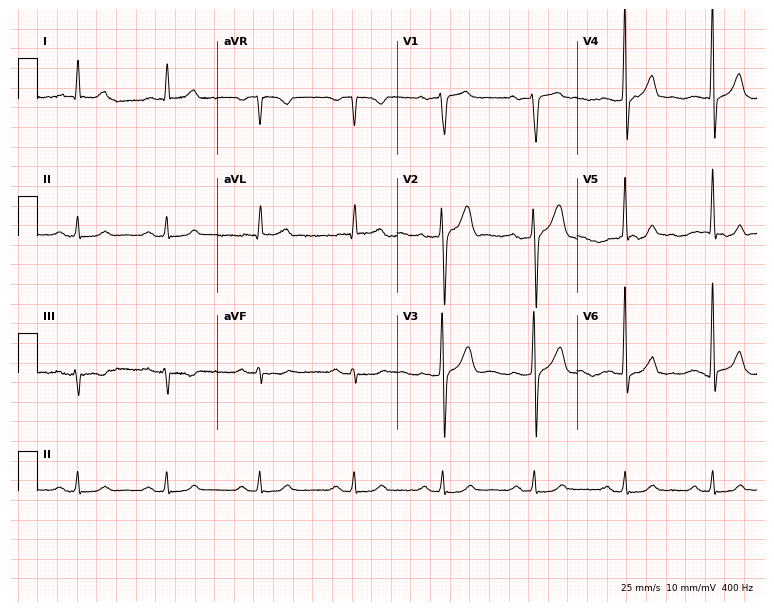
ECG (7.3-second recording at 400 Hz) — a 65-year-old male. Labelled as a normal ECG.